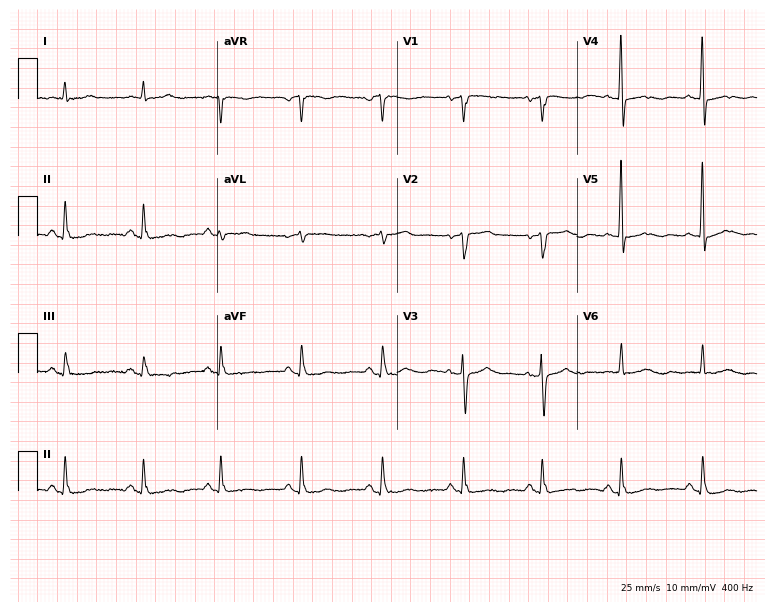
Resting 12-lead electrocardiogram (7.3-second recording at 400 Hz). Patient: a 71-year-old man. Read as a normal ECG.